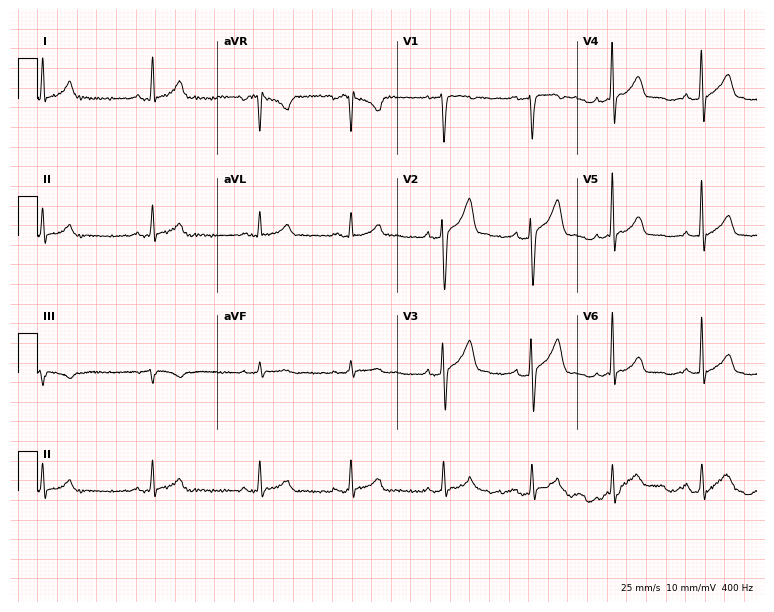
12-lead ECG from a male, 29 years old. Recorded interpretation: within normal limits.